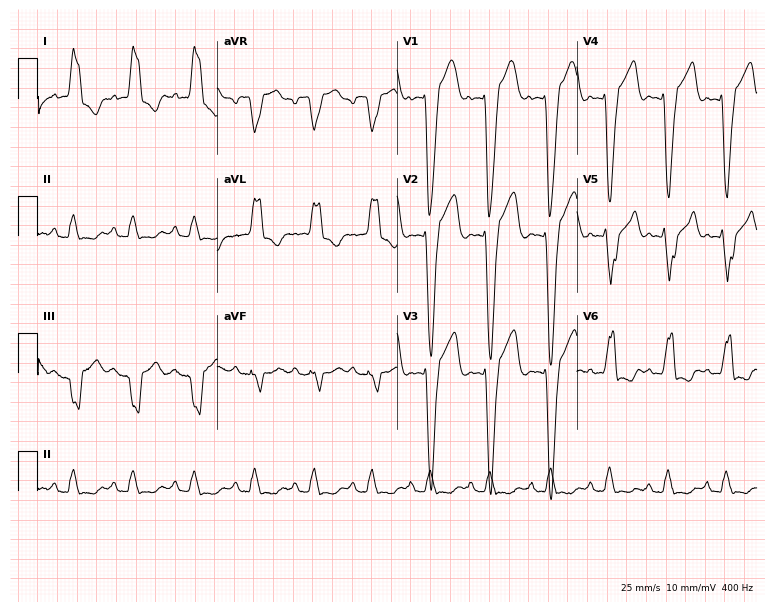
Resting 12-lead electrocardiogram (7.3-second recording at 400 Hz). Patient: a man, 70 years old. The tracing shows left bundle branch block.